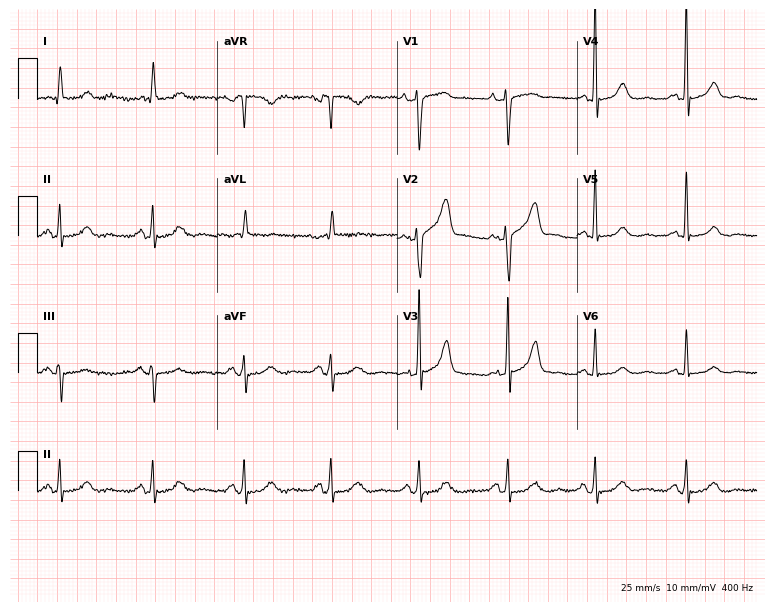
12-lead ECG from a woman, 75 years old. No first-degree AV block, right bundle branch block (RBBB), left bundle branch block (LBBB), sinus bradycardia, atrial fibrillation (AF) or sinus tachycardia recorded for this tracing. Only these six findings were labelled.